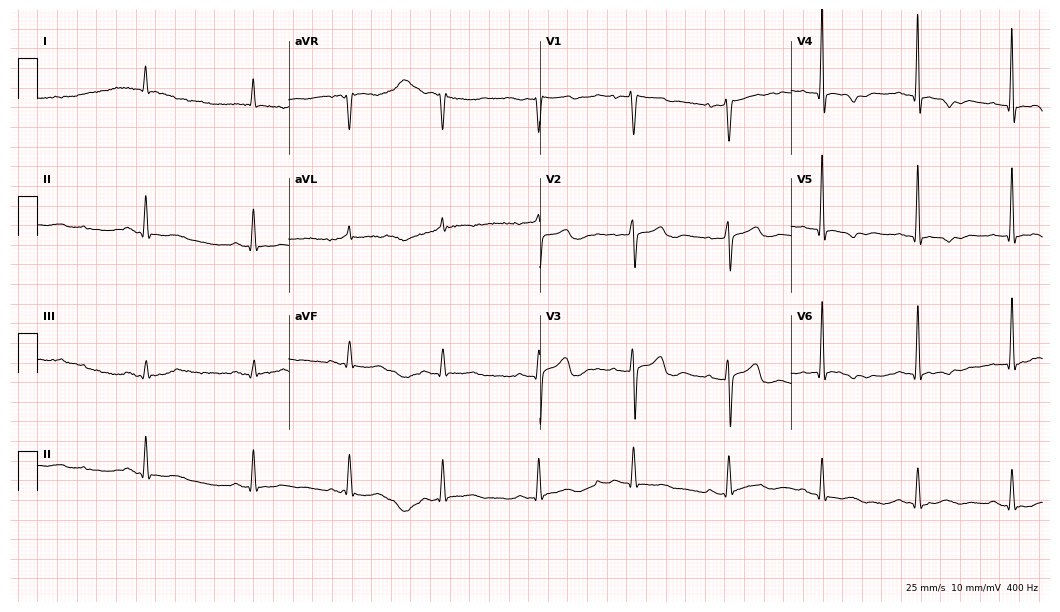
Standard 12-lead ECG recorded from an 82-year-old male (10.2-second recording at 400 Hz). None of these six findings is recorded: first-degree AV block, right bundle branch block, left bundle branch block, sinus bradycardia, atrial fibrillation, sinus tachycardia. Findings outside these six are not listed.